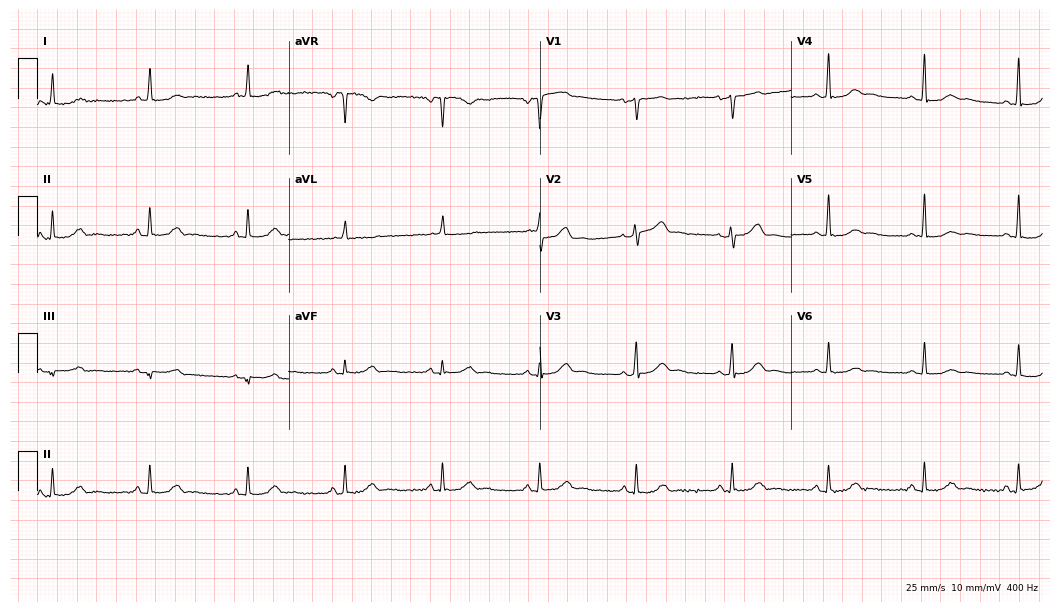
Electrocardiogram (10.2-second recording at 400 Hz), a 58-year-old female. Overall reading on record: normal ECG.